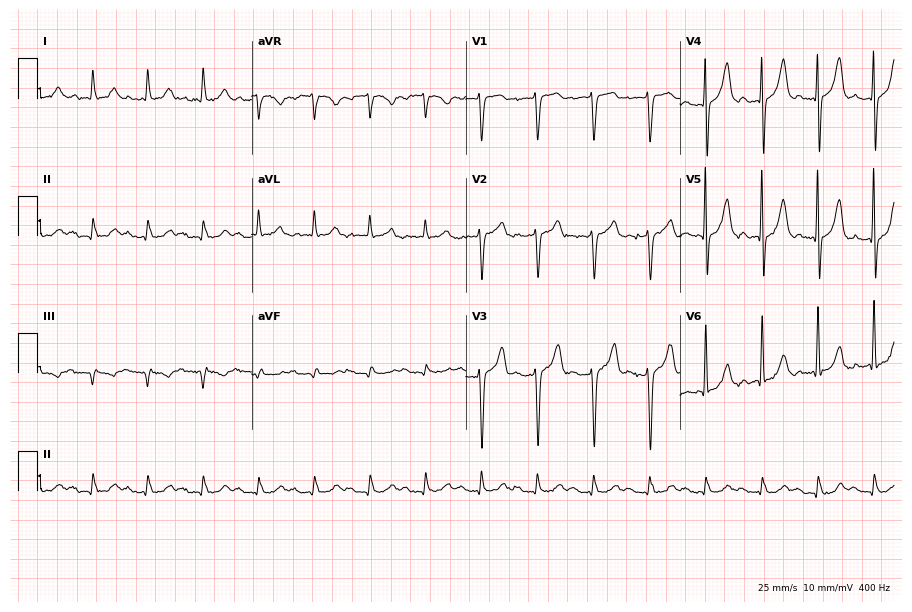
12-lead ECG from a male, 33 years old (8.7-second recording at 400 Hz). Shows sinus tachycardia (a sinus rate of 100 beats per minute or more).